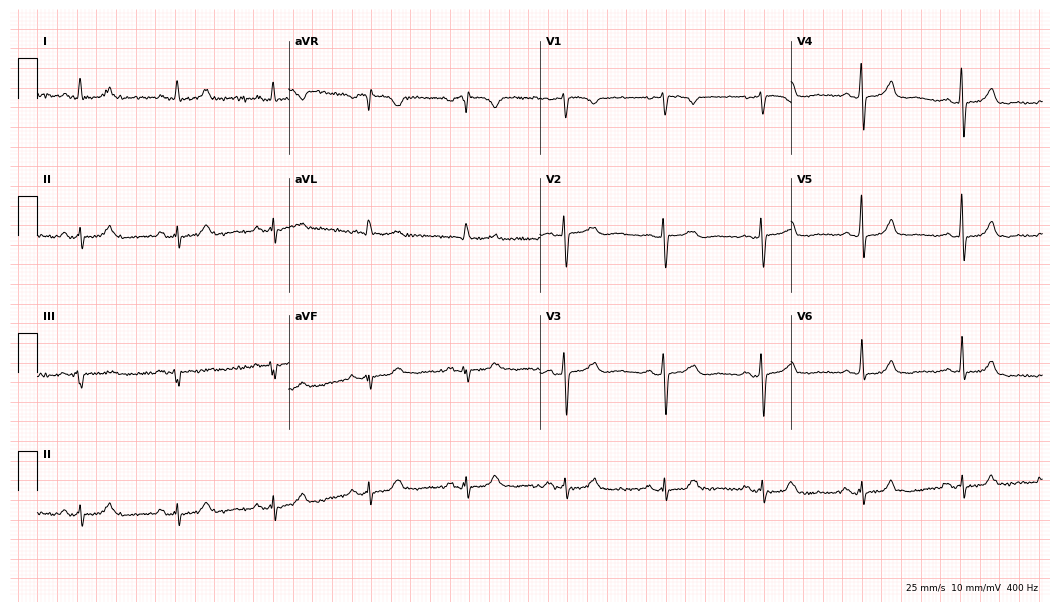
12-lead ECG (10.2-second recording at 400 Hz) from a woman, 77 years old. Screened for six findings — first-degree AV block, right bundle branch block, left bundle branch block, sinus bradycardia, atrial fibrillation, sinus tachycardia — none is recorded. Other findings, if any, are not listed.